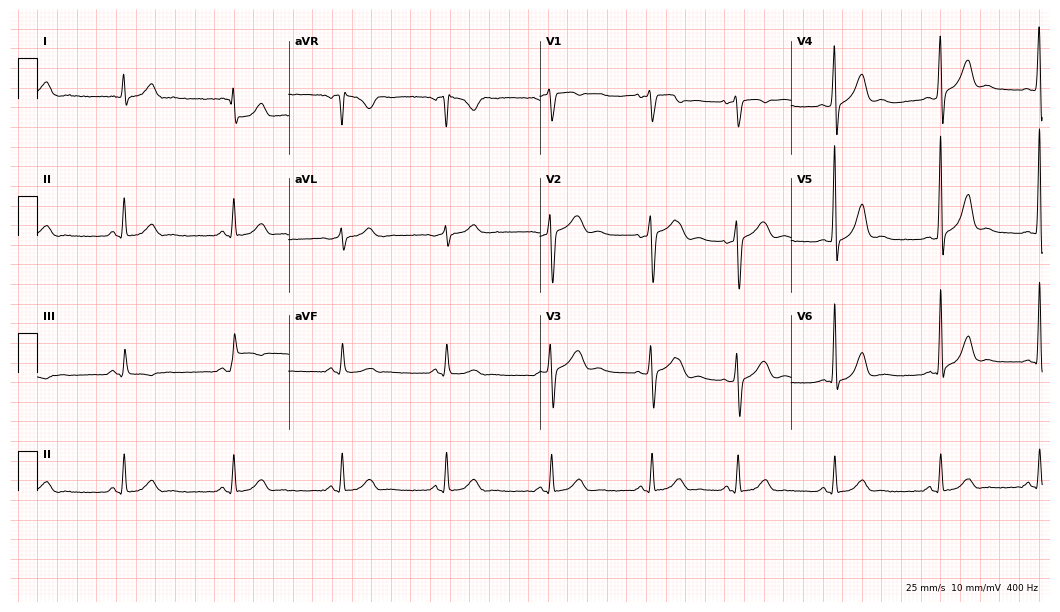
12-lead ECG (10.2-second recording at 400 Hz) from a male, 51 years old. Labelled as a normal ECG.